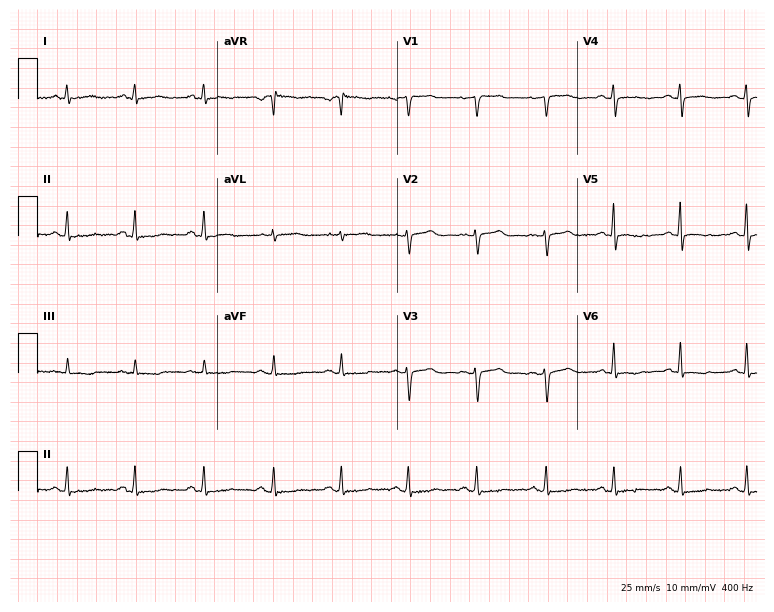
Standard 12-lead ECG recorded from a woman, 46 years old (7.3-second recording at 400 Hz). None of these six findings is recorded: first-degree AV block, right bundle branch block (RBBB), left bundle branch block (LBBB), sinus bradycardia, atrial fibrillation (AF), sinus tachycardia.